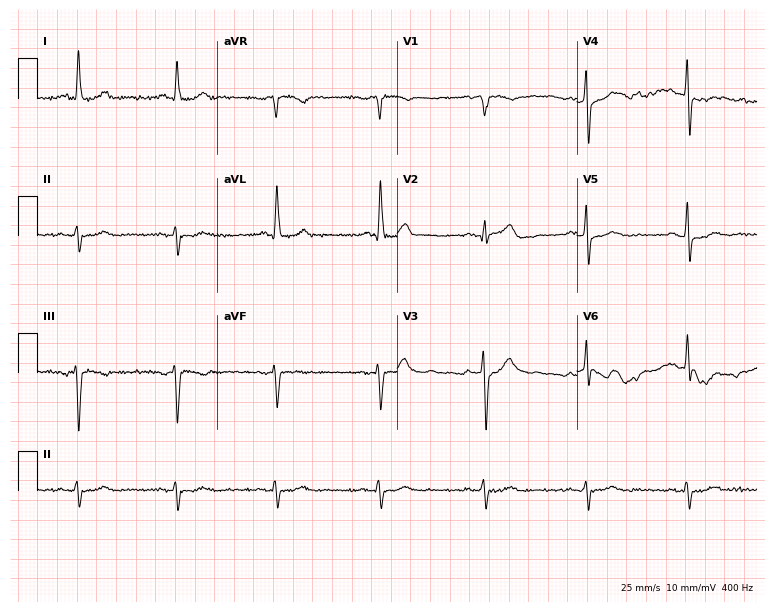
ECG (7.3-second recording at 400 Hz) — a 77-year-old male. Screened for six findings — first-degree AV block, right bundle branch block, left bundle branch block, sinus bradycardia, atrial fibrillation, sinus tachycardia — none is recorded. Other findings, if any, are not listed.